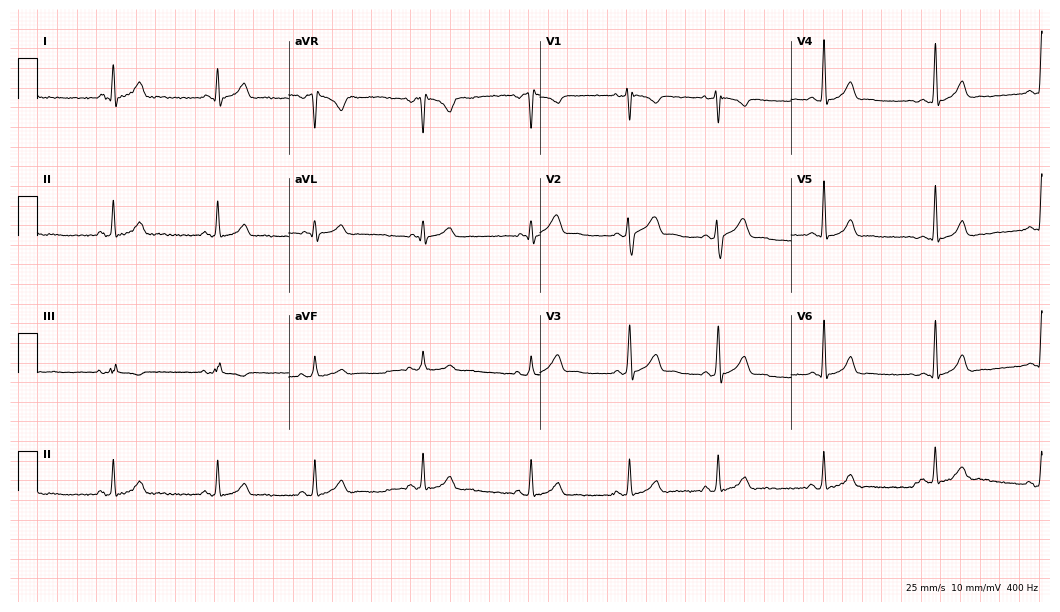
12-lead ECG (10.2-second recording at 400 Hz) from a male, 23 years old. Labelled as a normal ECG.